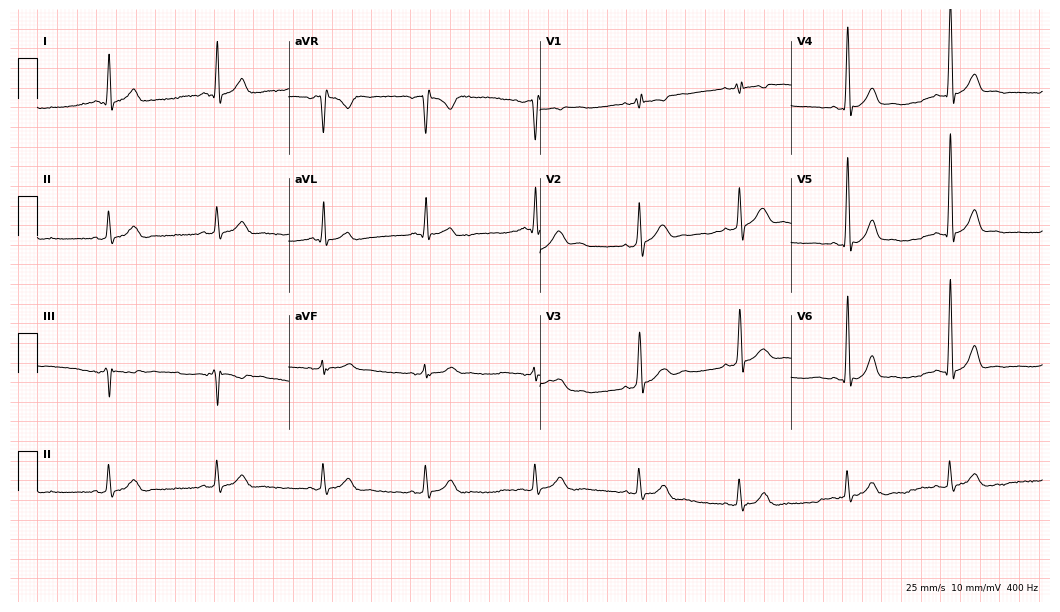
ECG (10.2-second recording at 400 Hz) — a male patient, 44 years old. Labelled as a normal ECG.